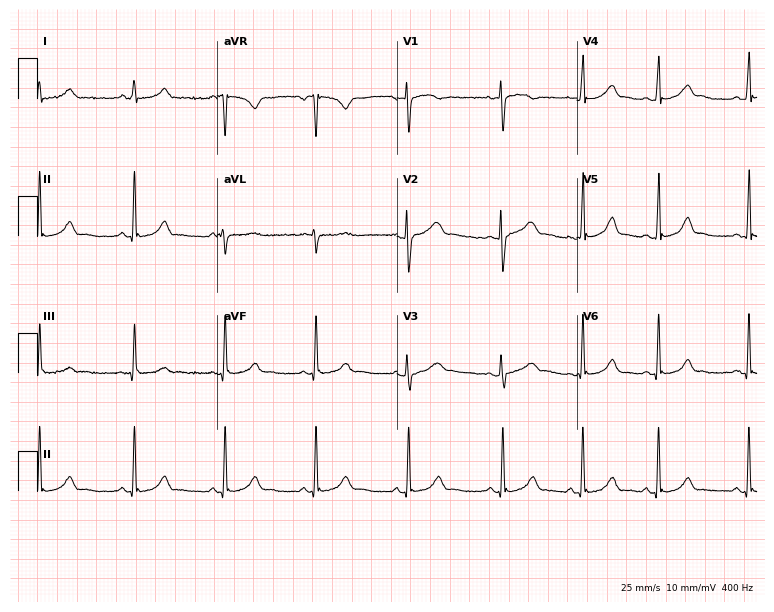
ECG (7.3-second recording at 400 Hz) — a 17-year-old female. Labelled as a normal ECG.